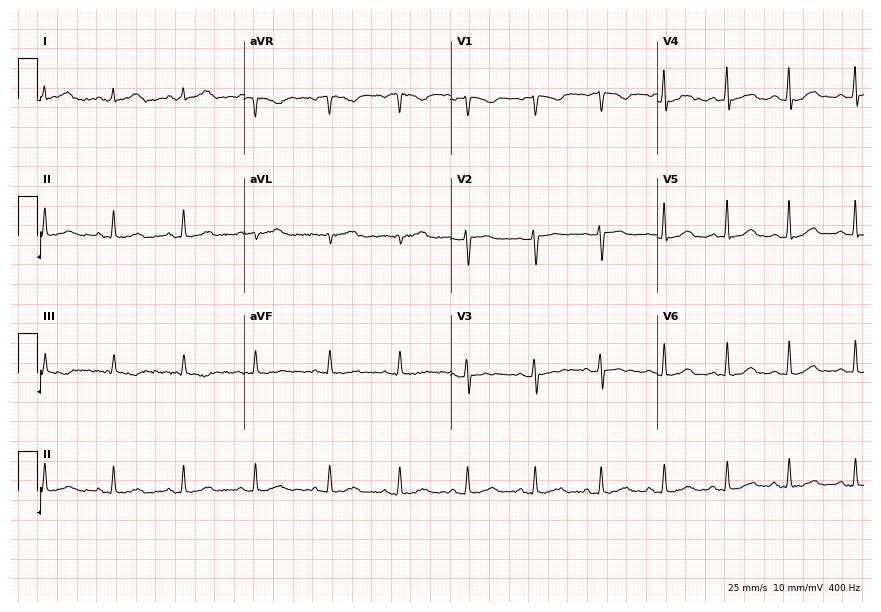
Standard 12-lead ECG recorded from a 46-year-old woman (8.4-second recording at 400 Hz). Read as a normal ECG.